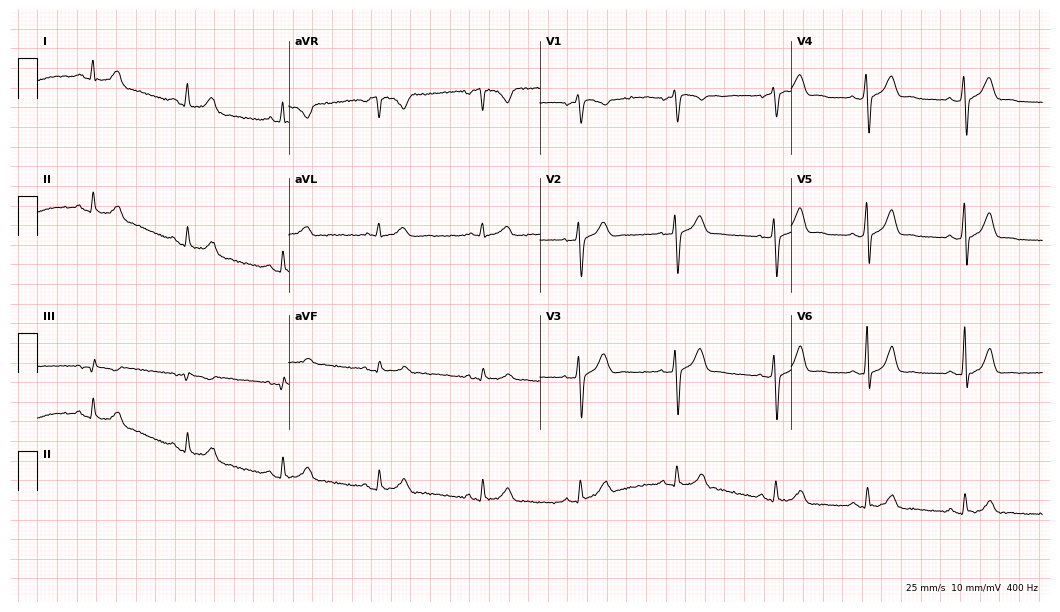
Resting 12-lead electrocardiogram. Patient: a 36-year-old man. Read as a normal ECG.